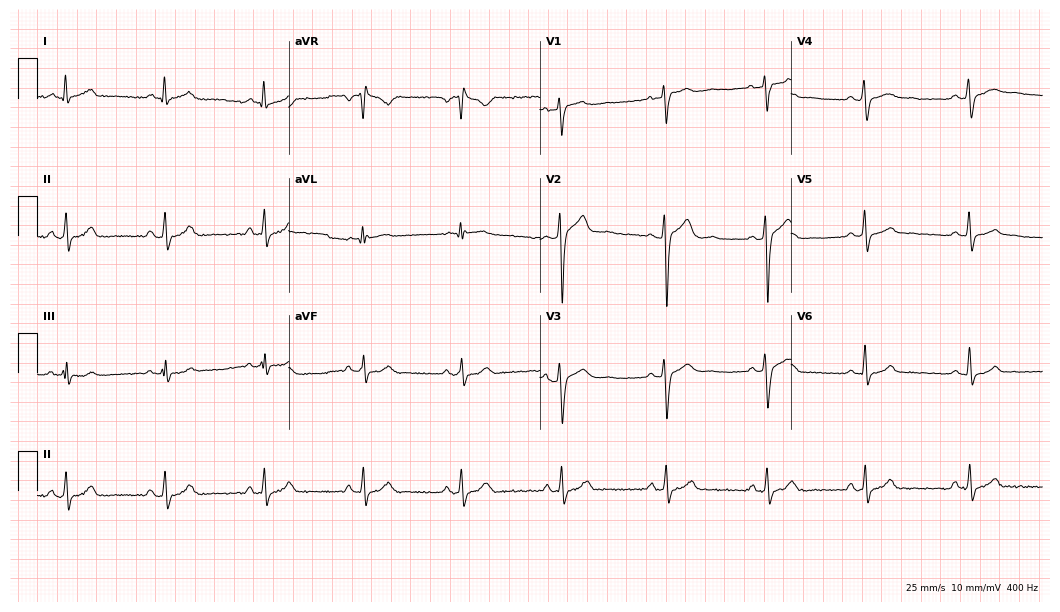
Resting 12-lead electrocardiogram (10.2-second recording at 400 Hz). Patient: a male, 30 years old. None of these six findings is recorded: first-degree AV block, right bundle branch block, left bundle branch block, sinus bradycardia, atrial fibrillation, sinus tachycardia.